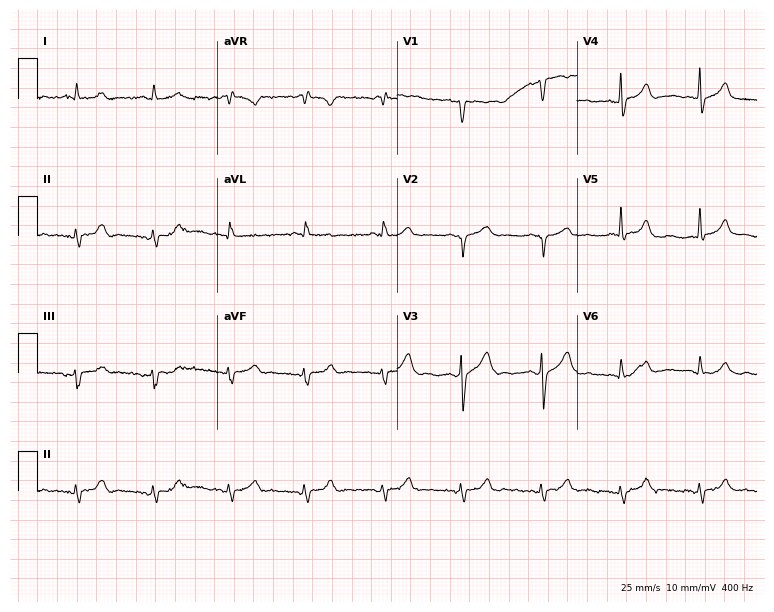
Electrocardiogram (7.3-second recording at 400 Hz), a 64-year-old male. Of the six screened findings (first-degree AV block, right bundle branch block, left bundle branch block, sinus bradycardia, atrial fibrillation, sinus tachycardia), none is recorded. Other findings, if any, are not listed.